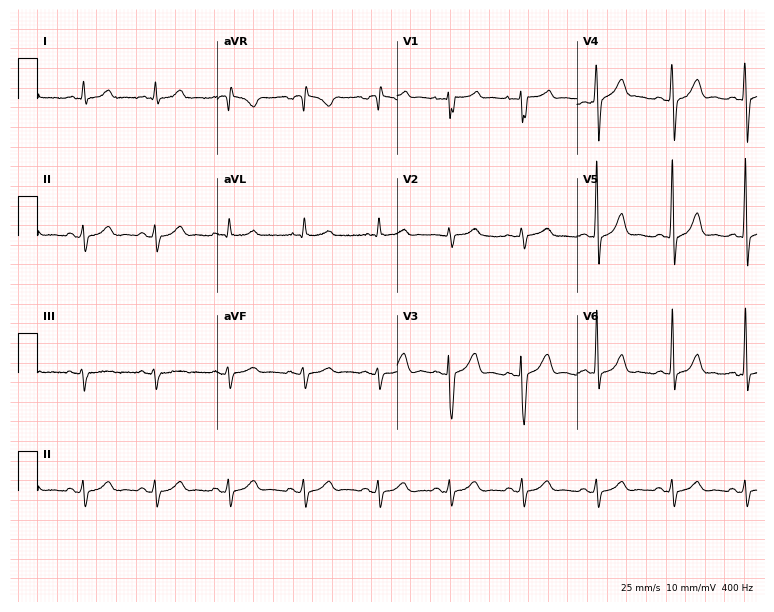
12-lead ECG from a male patient, 29 years old. No first-degree AV block, right bundle branch block, left bundle branch block, sinus bradycardia, atrial fibrillation or sinus tachycardia recorded for this tracing. Other findings, if any, are not listed.